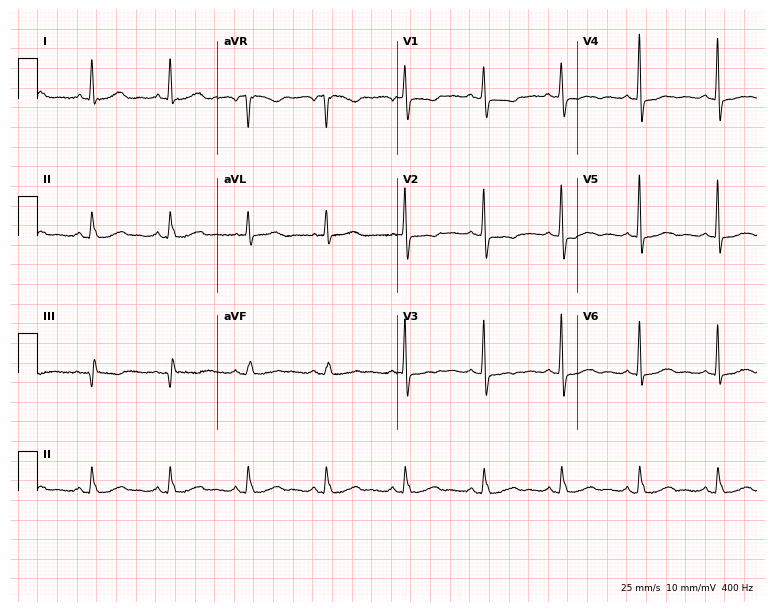
12-lead ECG from a female patient, 68 years old. Screened for six findings — first-degree AV block, right bundle branch block, left bundle branch block, sinus bradycardia, atrial fibrillation, sinus tachycardia — none is recorded. Findings outside these six are not listed.